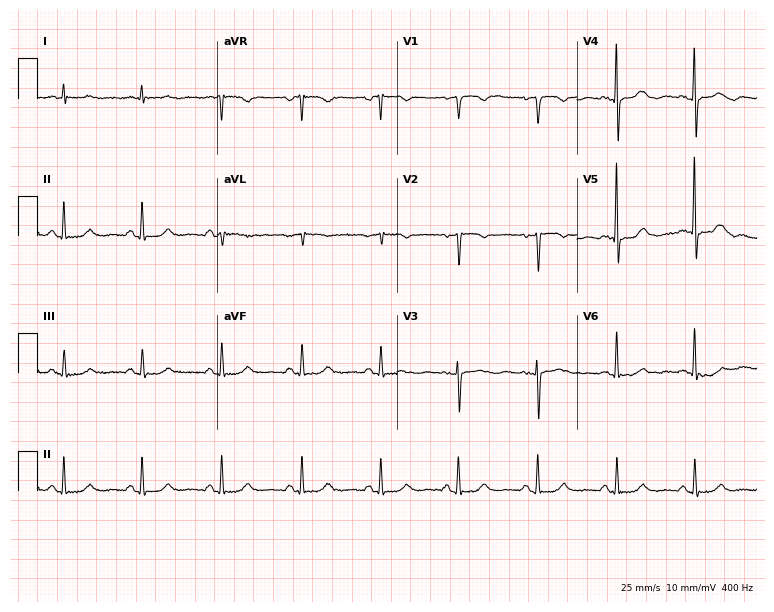
ECG — a 66-year-old female. Screened for six findings — first-degree AV block, right bundle branch block (RBBB), left bundle branch block (LBBB), sinus bradycardia, atrial fibrillation (AF), sinus tachycardia — none is recorded.